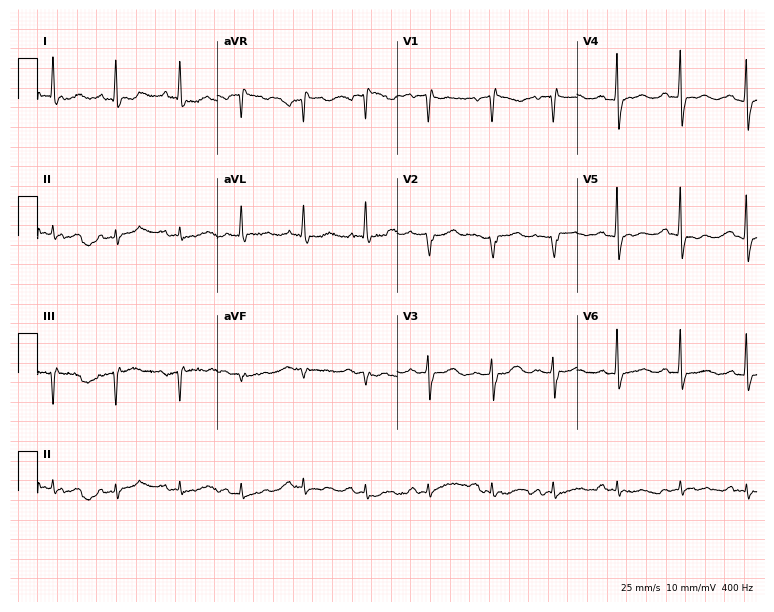
ECG (7.3-second recording at 400 Hz) — a female, 78 years old. Labelled as a normal ECG.